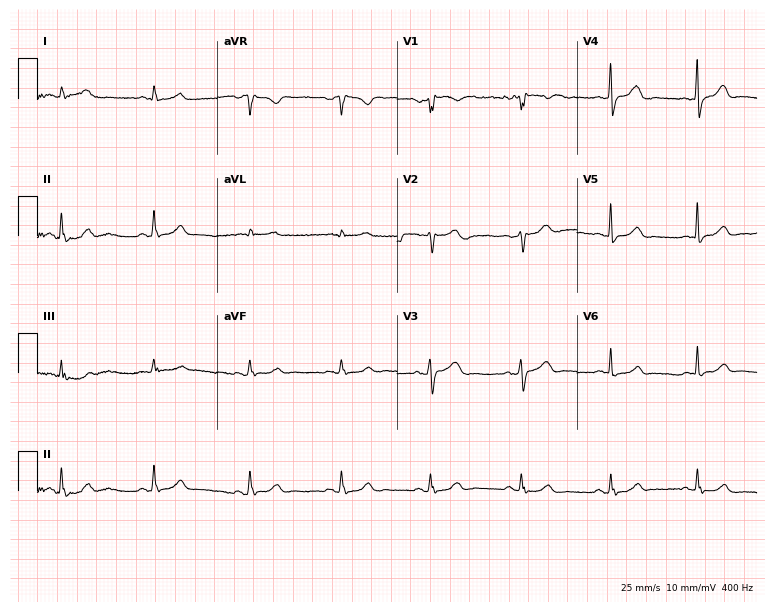
Standard 12-lead ECG recorded from a 48-year-old female patient (7.3-second recording at 400 Hz). Read as a normal ECG.